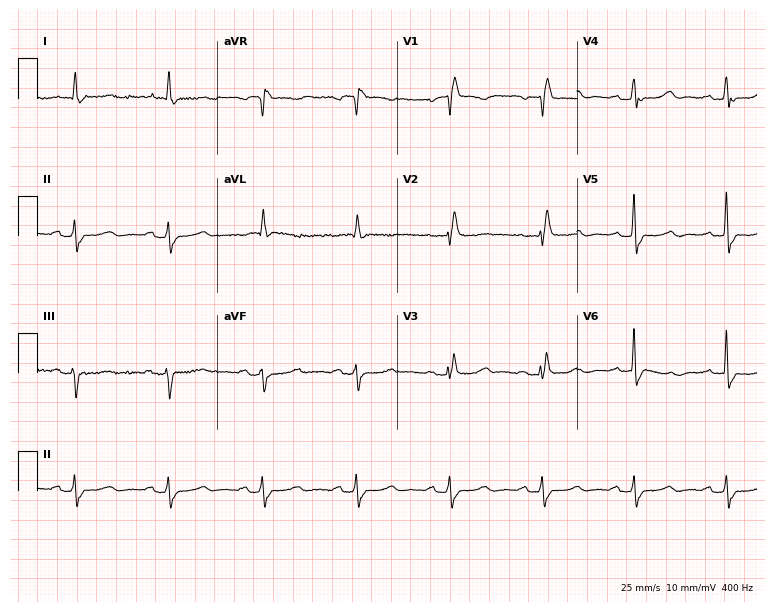
Standard 12-lead ECG recorded from a female, 80 years old. The tracing shows right bundle branch block (RBBB).